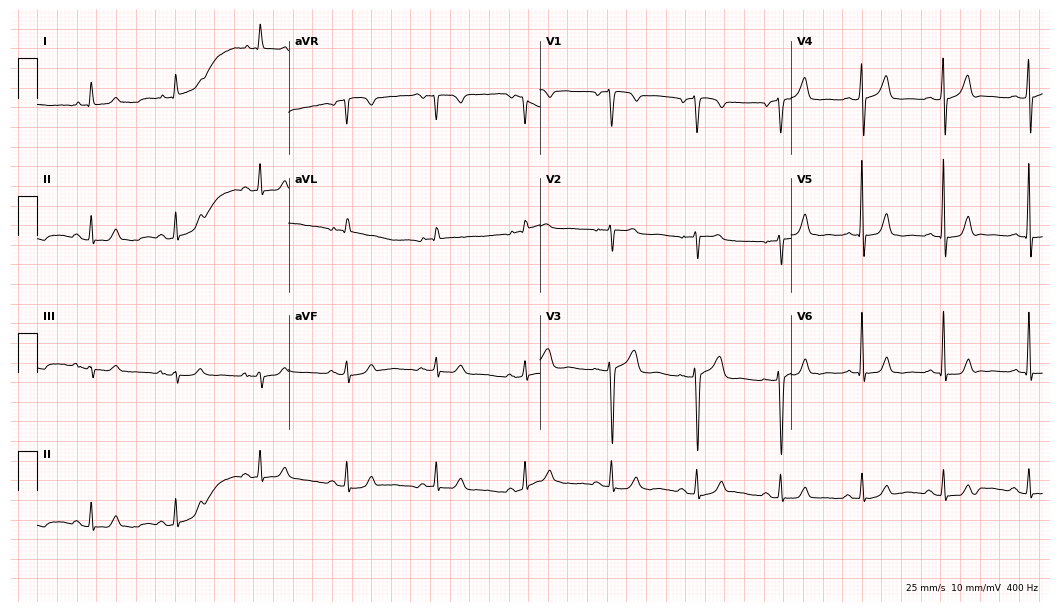
ECG (10.2-second recording at 400 Hz) — a 55-year-old female. Labelled as a normal ECG.